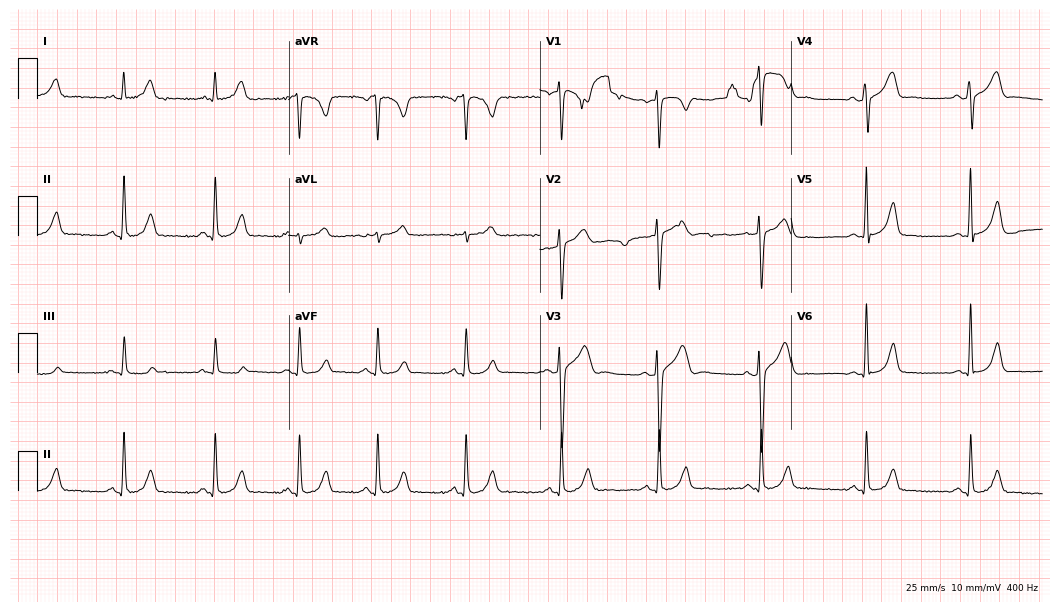
Electrocardiogram (10.2-second recording at 400 Hz), a male, 33 years old. Overall reading on record: normal ECG.